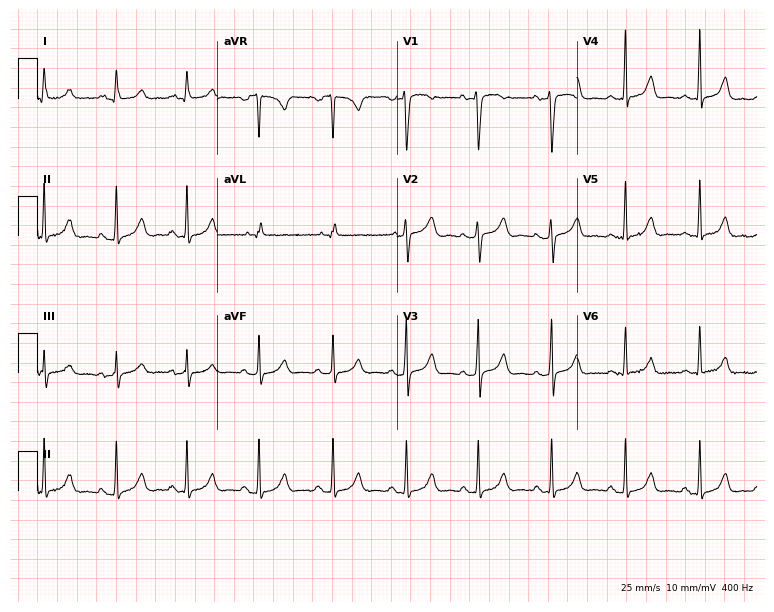
Standard 12-lead ECG recorded from a female patient, 33 years old (7.3-second recording at 400 Hz). Read as a normal ECG.